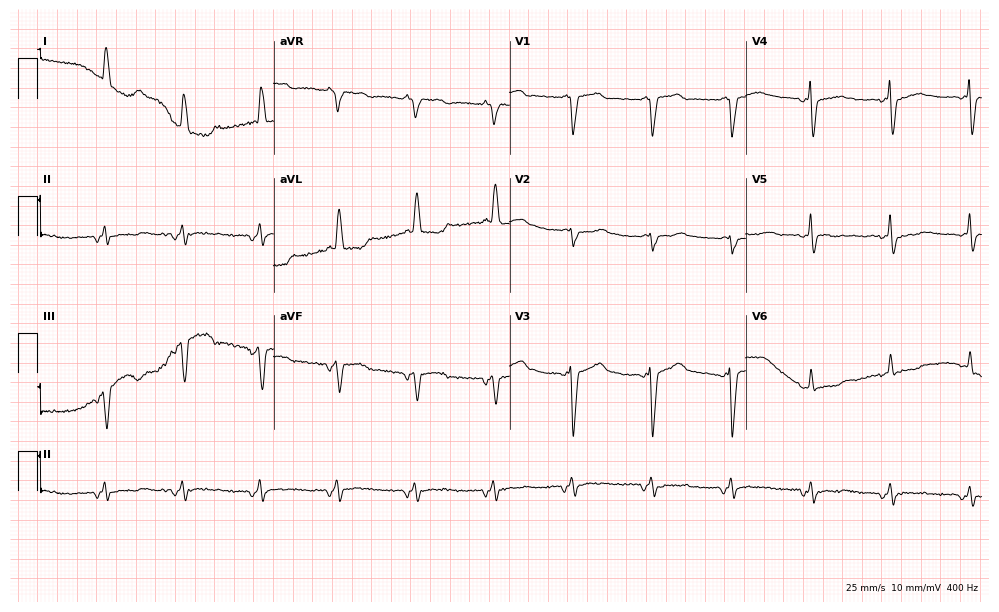
Resting 12-lead electrocardiogram. Patient: a female, 68 years old. None of these six findings is recorded: first-degree AV block, right bundle branch block, left bundle branch block, sinus bradycardia, atrial fibrillation, sinus tachycardia.